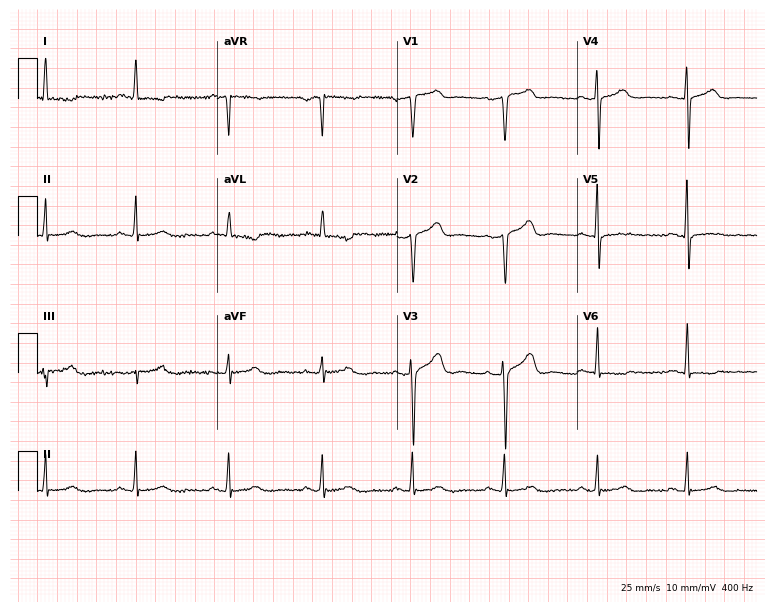
Electrocardiogram (7.3-second recording at 400 Hz), a female, 56 years old. Of the six screened findings (first-degree AV block, right bundle branch block (RBBB), left bundle branch block (LBBB), sinus bradycardia, atrial fibrillation (AF), sinus tachycardia), none is recorded.